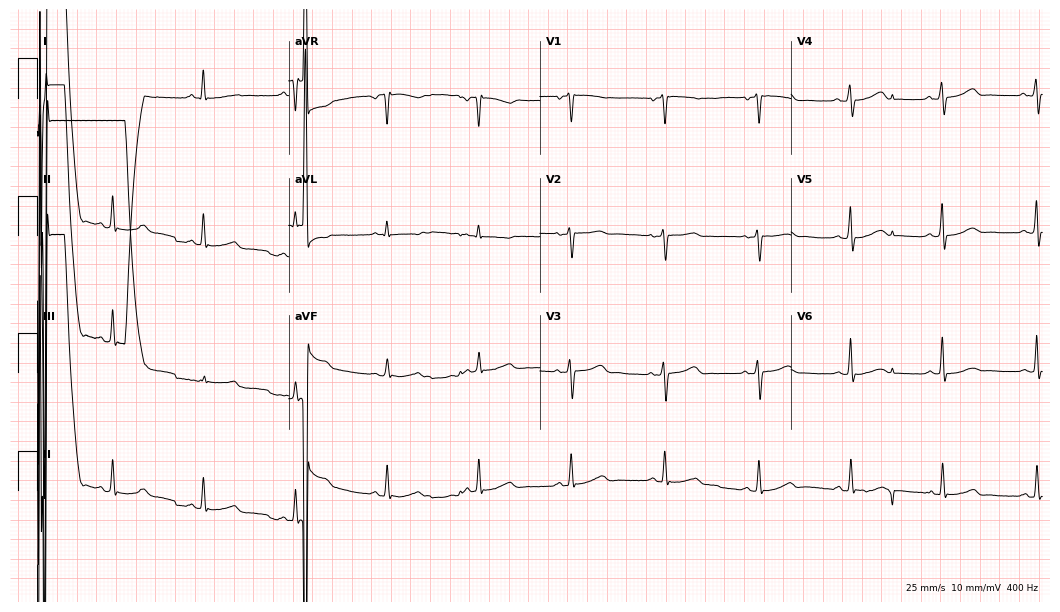
12-lead ECG from a 58-year-old female. No first-degree AV block, right bundle branch block, left bundle branch block, sinus bradycardia, atrial fibrillation or sinus tachycardia recorded for this tracing. Only these six findings were labelled.